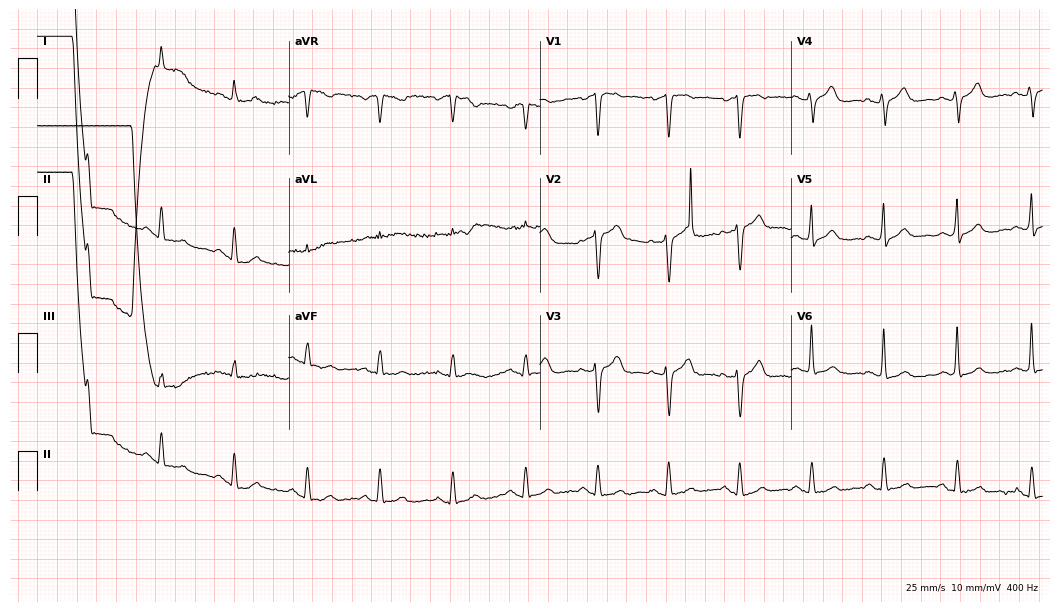
Resting 12-lead electrocardiogram (10.2-second recording at 400 Hz). Patient: a man, 68 years old. None of these six findings is recorded: first-degree AV block, right bundle branch block, left bundle branch block, sinus bradycardia, atrial fibrillation, sinus tachycardia. Only these six findings were labelled.